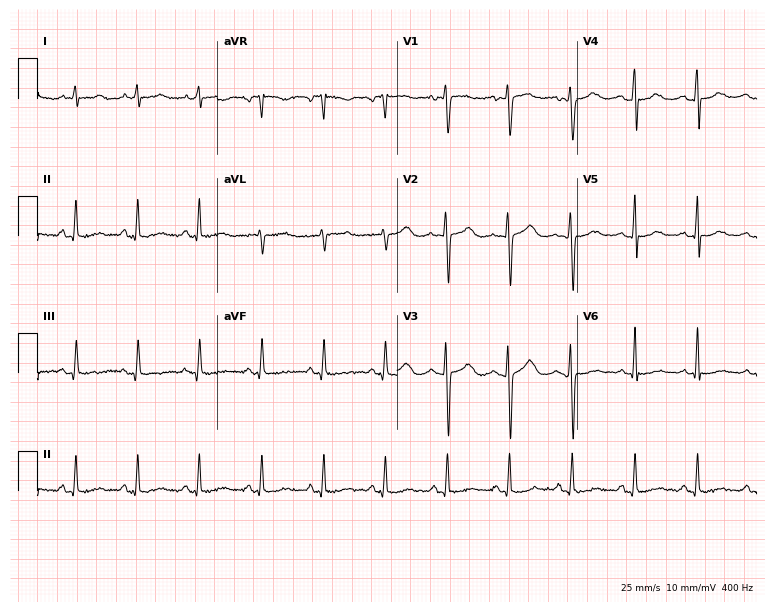
12-lead ECG (7.3-second recording at 400 Hz) from a 20-year-old female. Screened for six findings — first-degree AV block, right bundle branch block, left bundle branch block, sinus bradycardia, atrial fibrillation, sinus tachycardia — none is recorded. Findings outside these six are not listed.